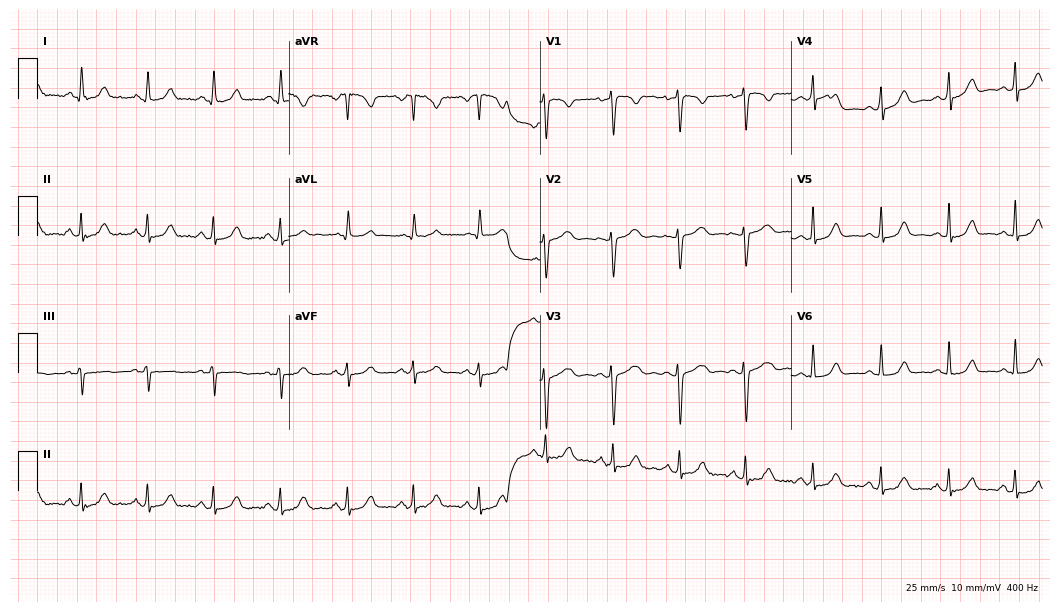
12-lead ECG (10.2-second recording at 400 Hz) from a 32-year-old female patient. Labelled as a normal ECG.